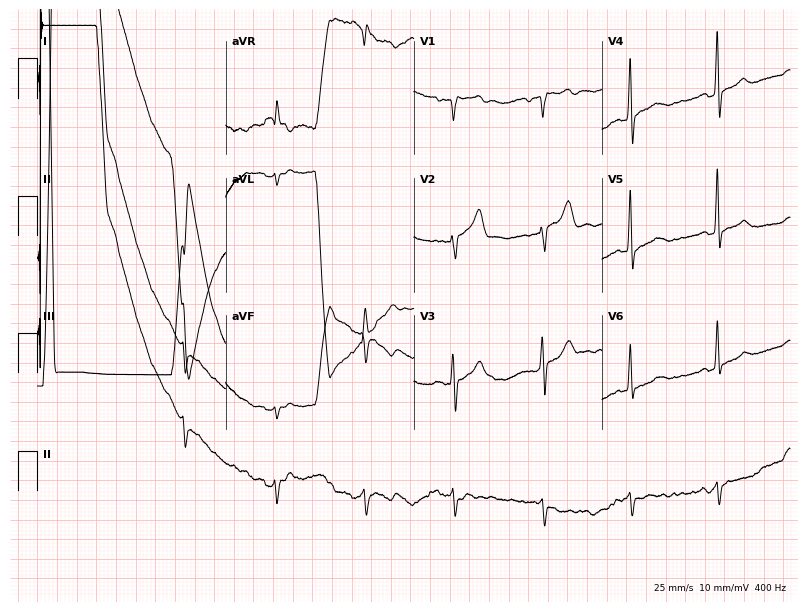
Electrocardiogram (7.7-second recording at 400 Hz), a male patient, 59 years old. Of the six screened findings (first-degree AV block, right bundle branch block, left bundle branch block, sinus bradycardia, atrial fibrillation, sinus tachycardia), none is recorded. Findings outside these six are not listed.